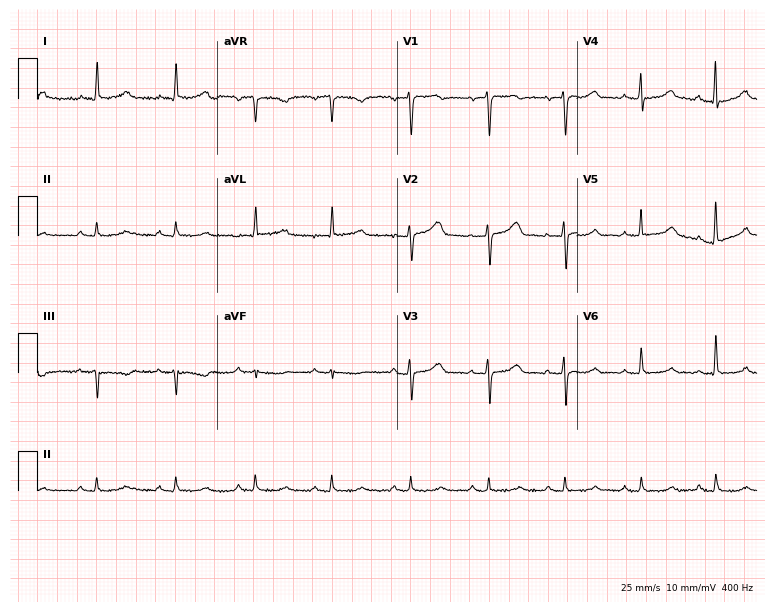
Electrocardiogram, a 73-year-old female patient. Of the six screened findings (first-degree AV block, right bundle branch block (RBBB), left bundle branch block (LBBB), sinus bradycardia, atrial fibrillation (AF), sinus tachycardia), none is recorded.